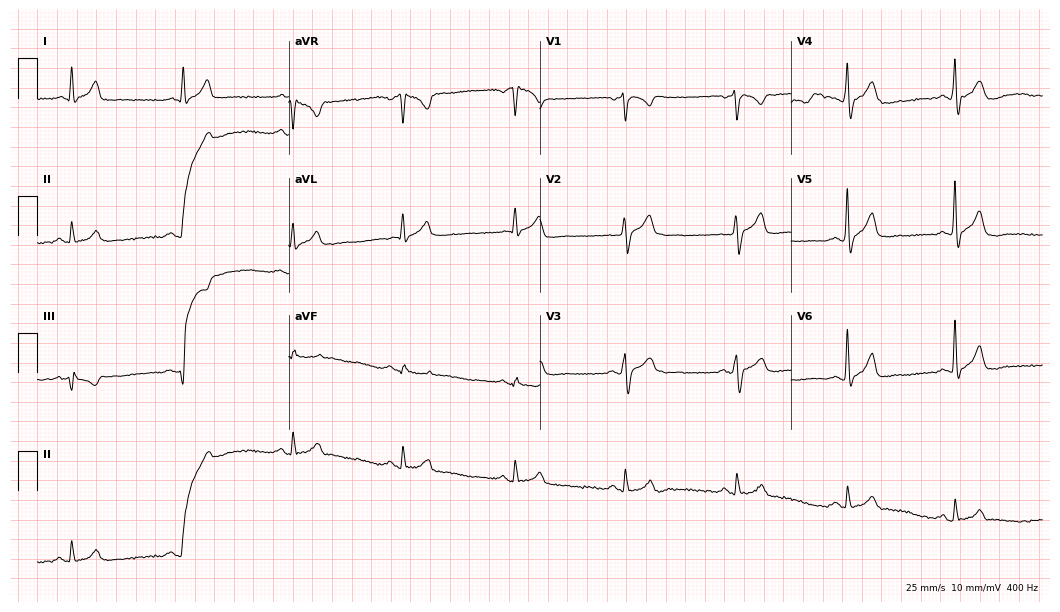
12-lead ECG from a man, 47 years old. Labelled as a normal ECG.